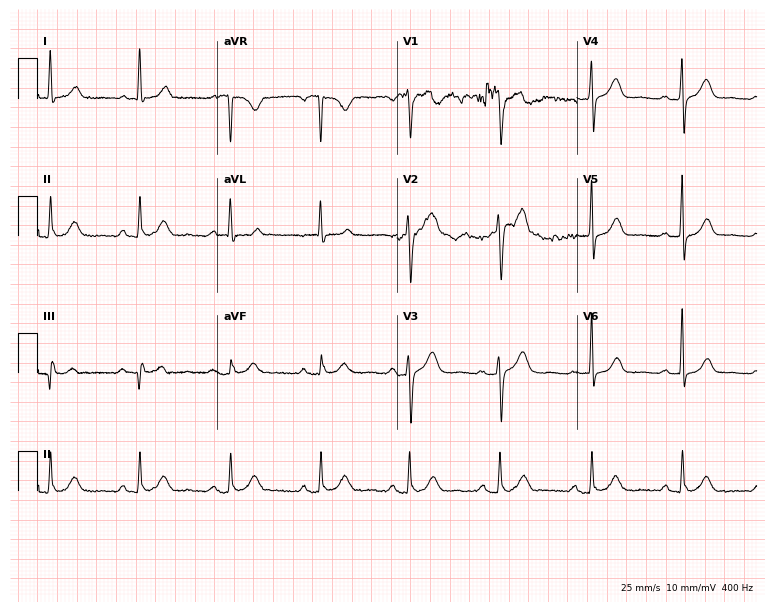
Electrocardiogram (7.3-second recording at 400 Hz), a female patient, 53 years old. Overall reading on record: normal ECG.